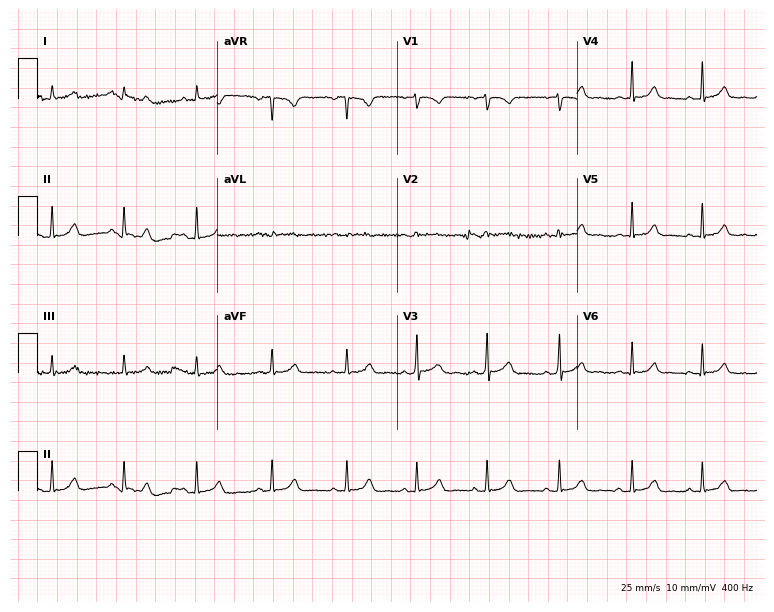
12-lead ECG from a female patient, 23 years old. Screened for six findings — first-degree AV block, right bundle branch block (RBBB), left bundle branch block (LBBB), sinus bradycardia, atrial fibrillation (AF), sinus tachycardia — none is recorded.